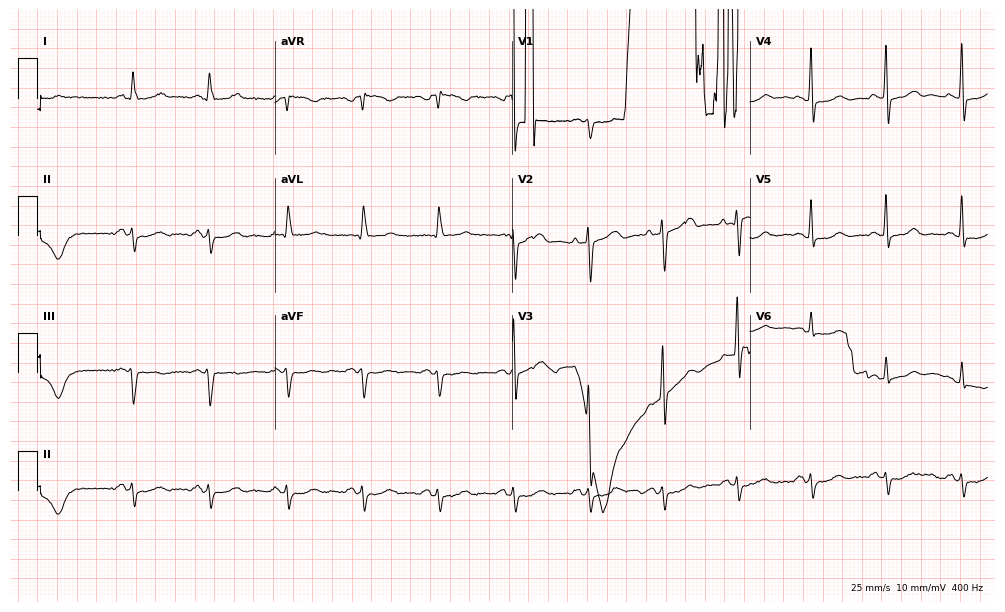
12-lead ECG (9.7-second recording at 400 Hz) from a 75-year-old male. Screened for six findings — first-degree AV block, right bundle branch block (RBBB), left bundle branch block (LBBB), sinus bradycardia, atrial fibrillation (AF), sinus tachycardia — none is recorded.